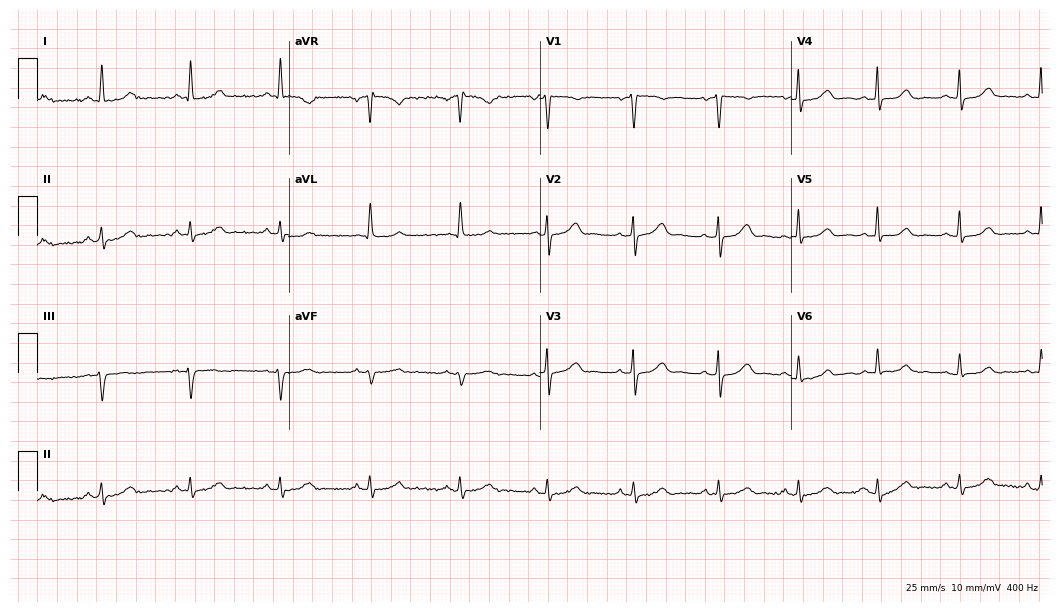
Electrocardiogram, a 55-year-old female. Overall reading on record: normal ECG.